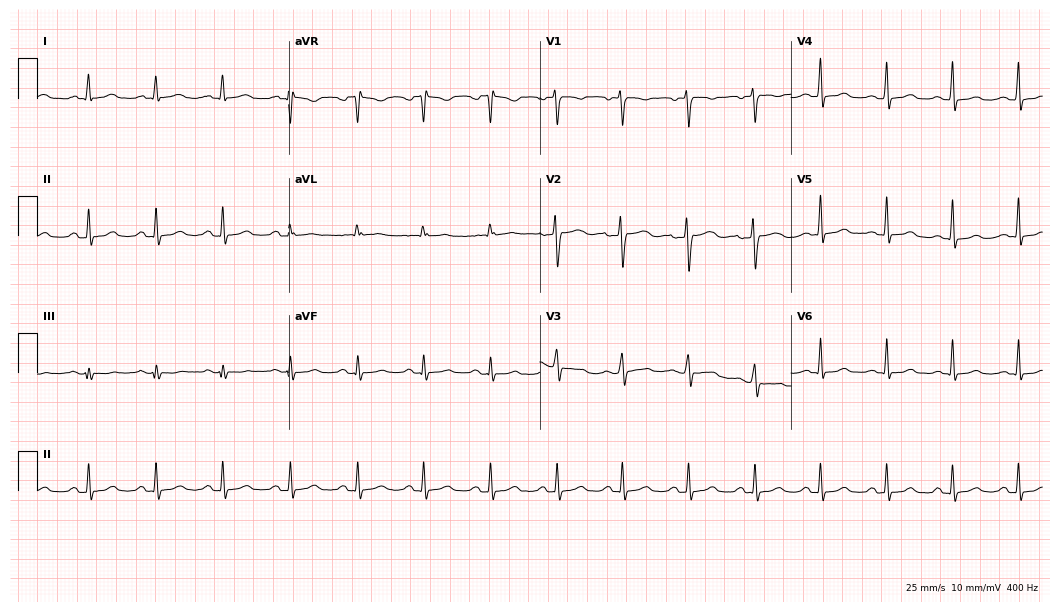
12-lead ECG from a female patient, 76 years old. No first-degree AV block, right bundle branch block, left bundle branch block, sinus bradycardia, atrial fibrillation or sinus tachycardia recorded for this tracing.